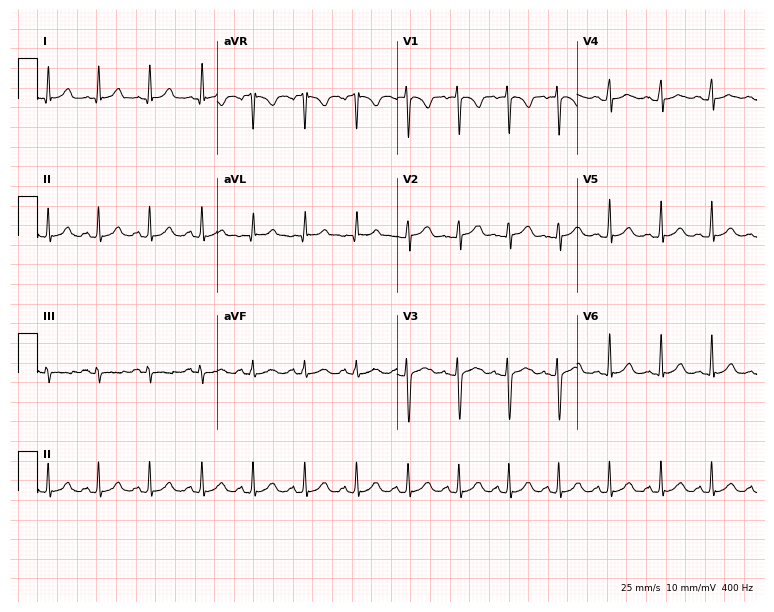
12-lead ECG from a 22-year-old female. Screened for six findings — first-degree AV block, right bundle branch block, left bundle branch block, sinus bradycardia, atrial fibrillation, sinus tachycardia — none is recorded.